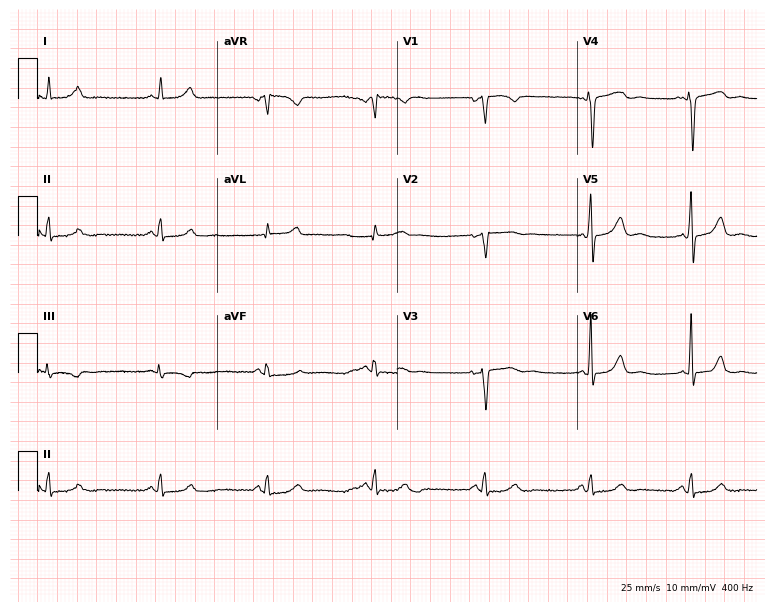
Electrocardiogram, a female patient, 66 years old. Of the six screened findings (first-degree AV block, right bundle branch block, left bundle branch block, sinus bradycardia, atrial fibrillation, sinus tachycardia), none is recorded. Other findings, if any, are not listed.